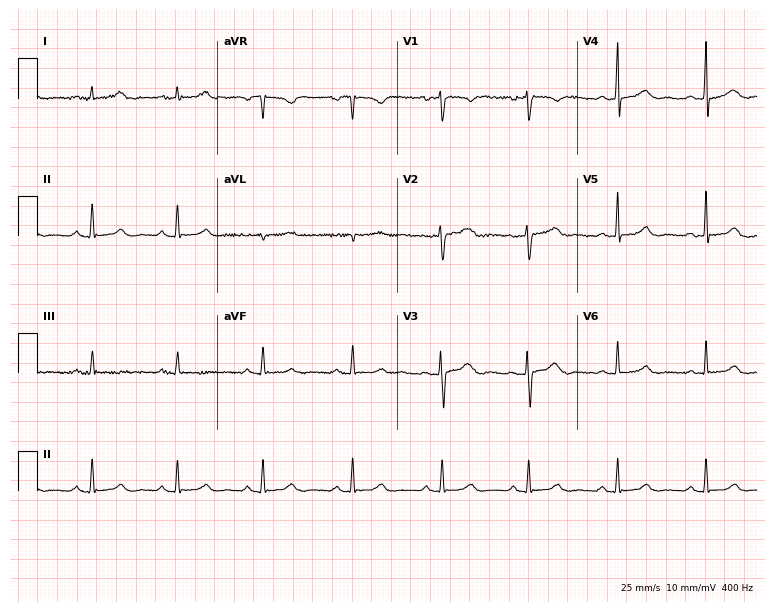
Standard 12-lead ECG recorded from a woman, 31 years old (7.3-second recording at 400 Hz). Read as a normal ECG.